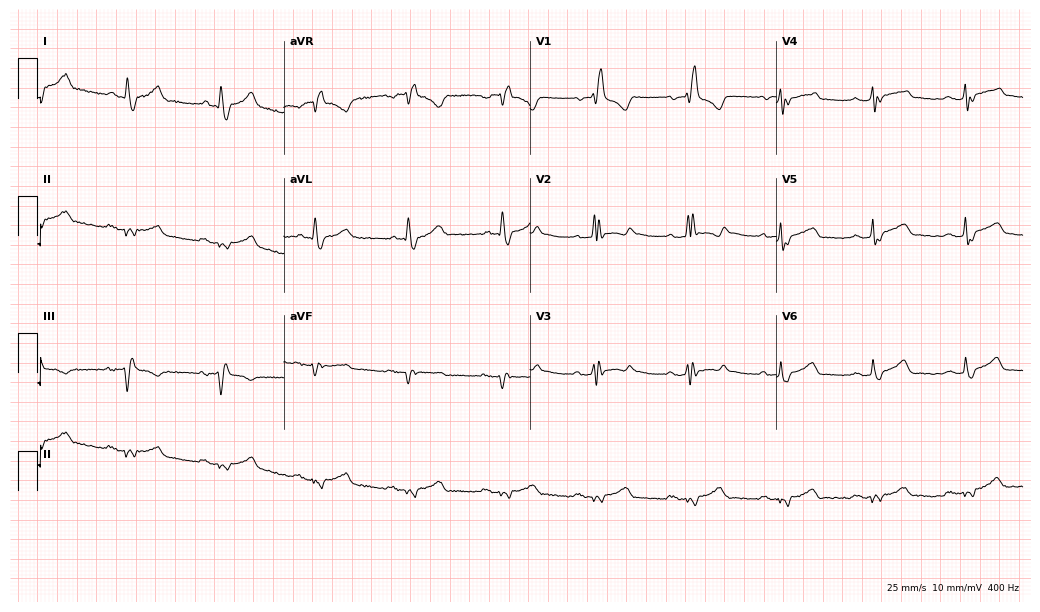
ECG — a male patient, 50 years old. Findings include right bundle branch block.